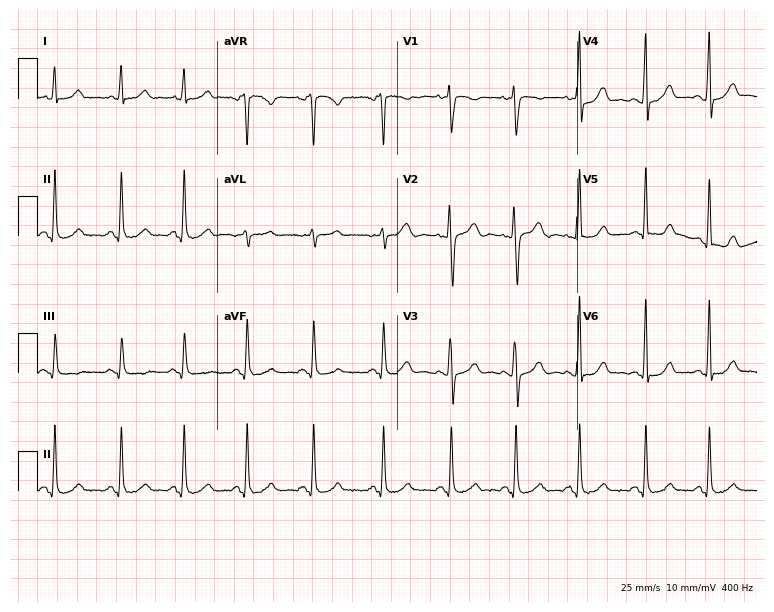
Standard 12-lead ECG recorded from a female patient, 36 years old (7.3-second recording at 400 Hz). Read as a normal ECG.